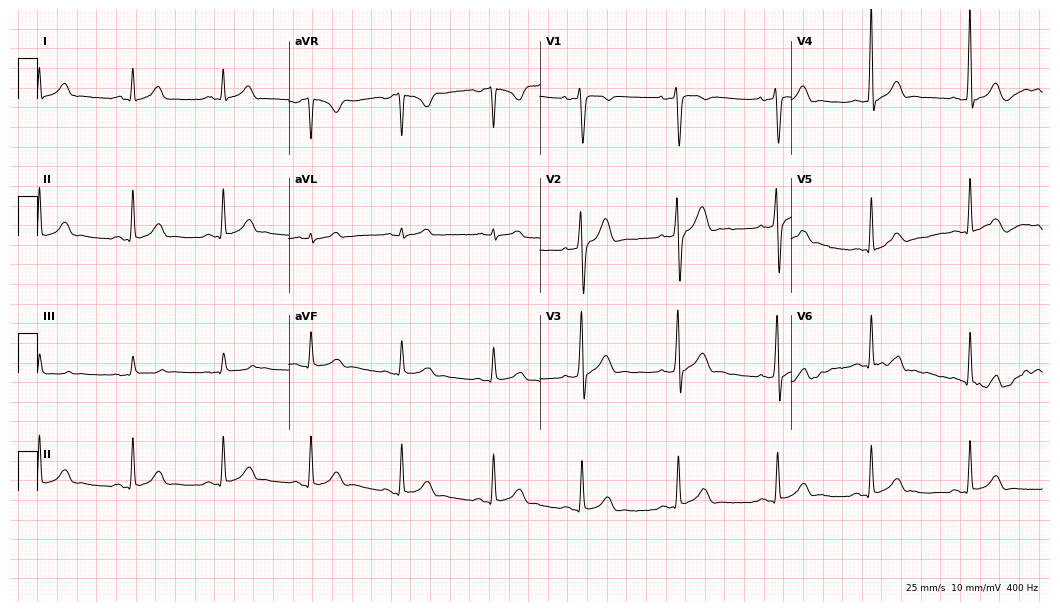
12-lead ECG (10.2-second recording at 400 Hz) from a 22-year-old man. Labelled as a normal ECG.